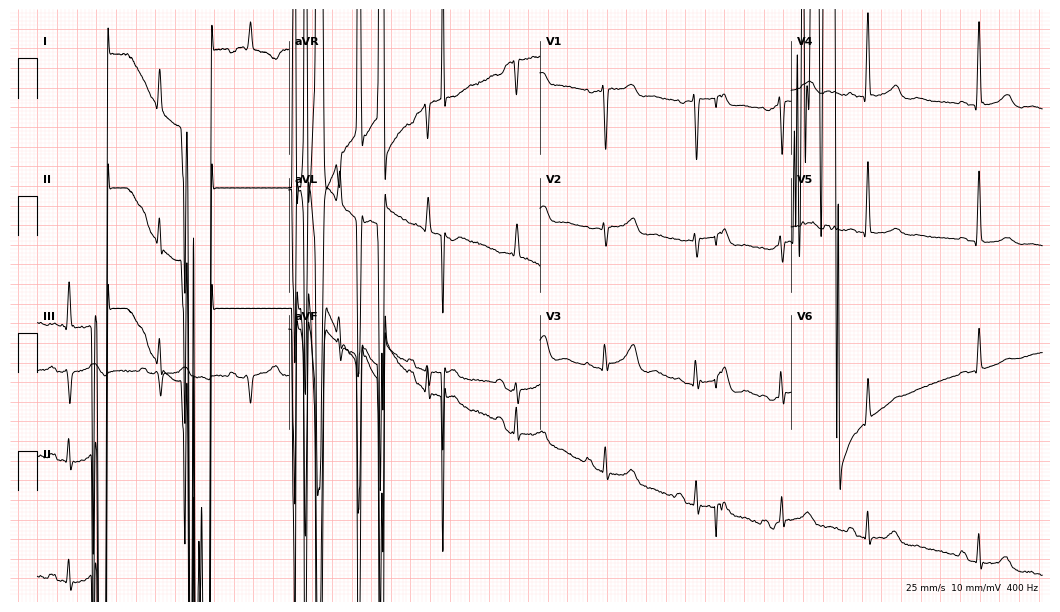
ECG (10.2-second recording at 400 Hz) — a female, 85 years old. Screened for six findings — first-degree AV block, right bundle branch block, left bundle branch block, sinus bradycardia, atrial fibrillation, sinus tachycardia — none is recorded. Only these six findings were labelled.